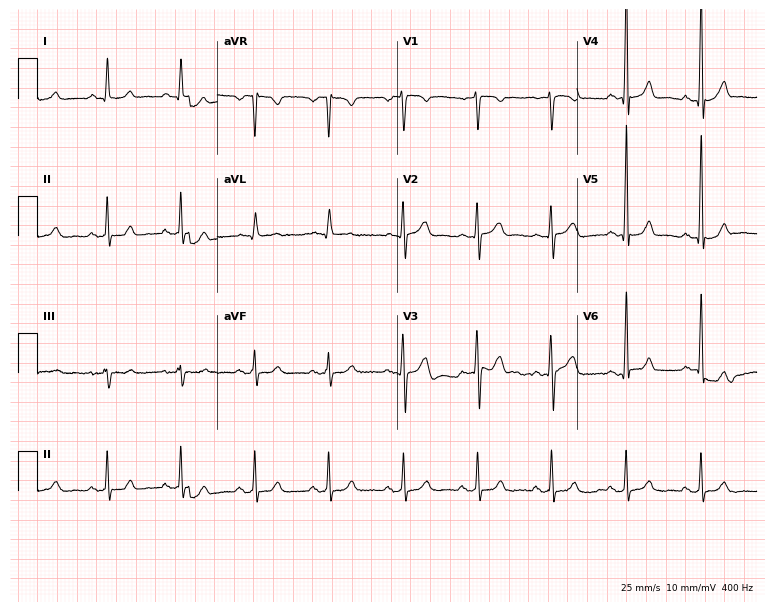
ECG (7.3-second recording at 400 Hz) — a 47-year-old male. Labelled as a normal ECG.